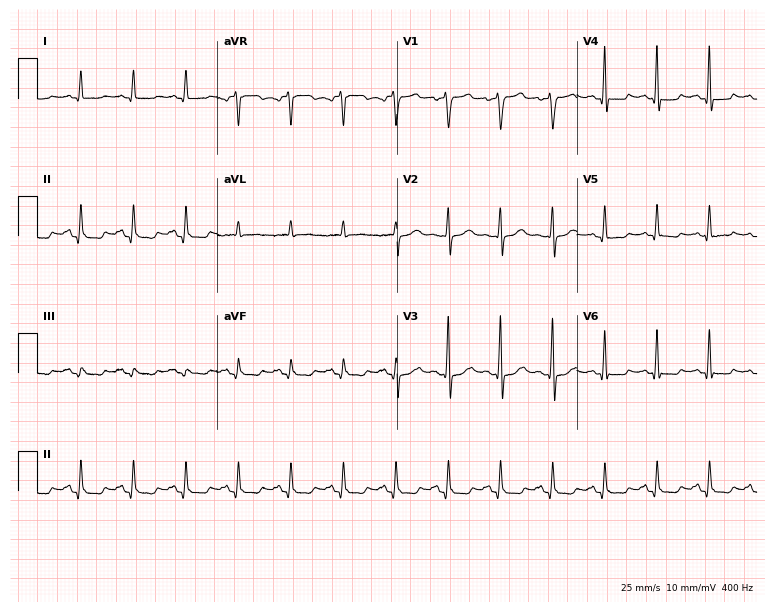
12-lead ECG from a male patient, 64 years old. Shows sinus tachycardia (a sinus rate of 100 beats per minute or more).